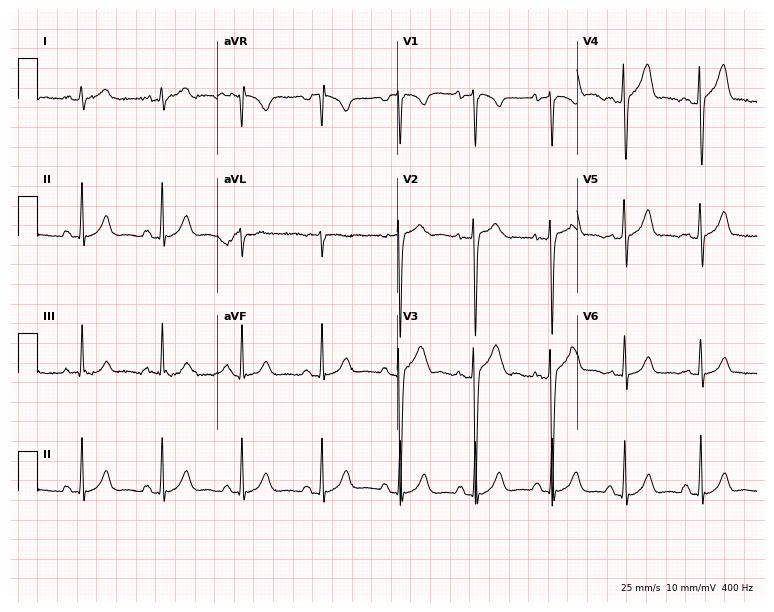
12-lead ECG (7.3-second recording at 400 Hz) from a man, 26 years old. Screened for six findings — first-degree AV block, right bundle branch block, left bundle branch block, sinus bradycardia, atrial fibrillation, sinus tachycardia — none is recorded. Other findings, if any, are not listed.